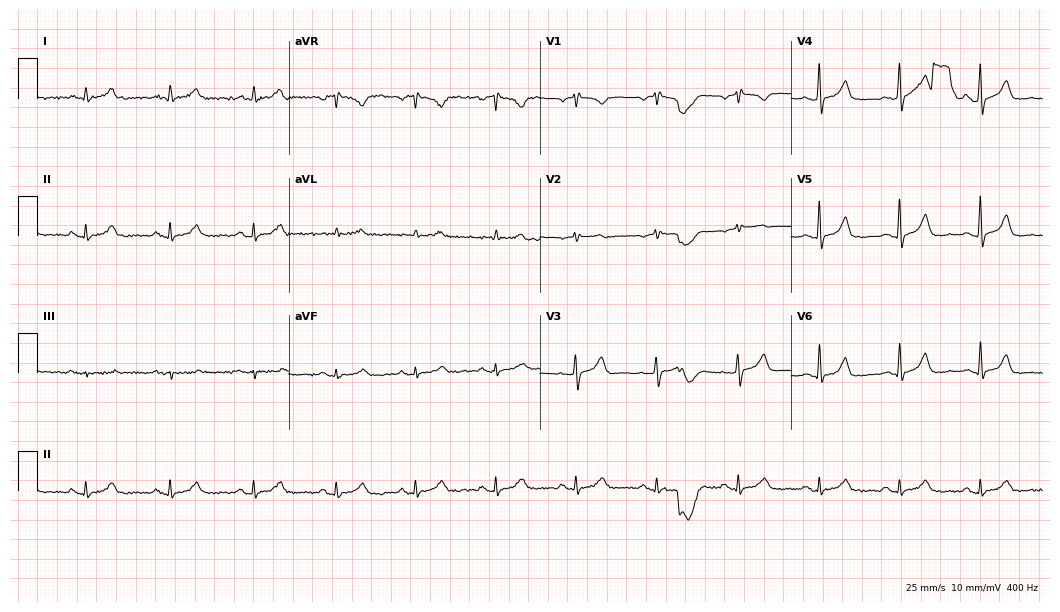
Resting 12-lead electrocardiogram. Patient: a 58-year-old male. Read as a normal ECG.